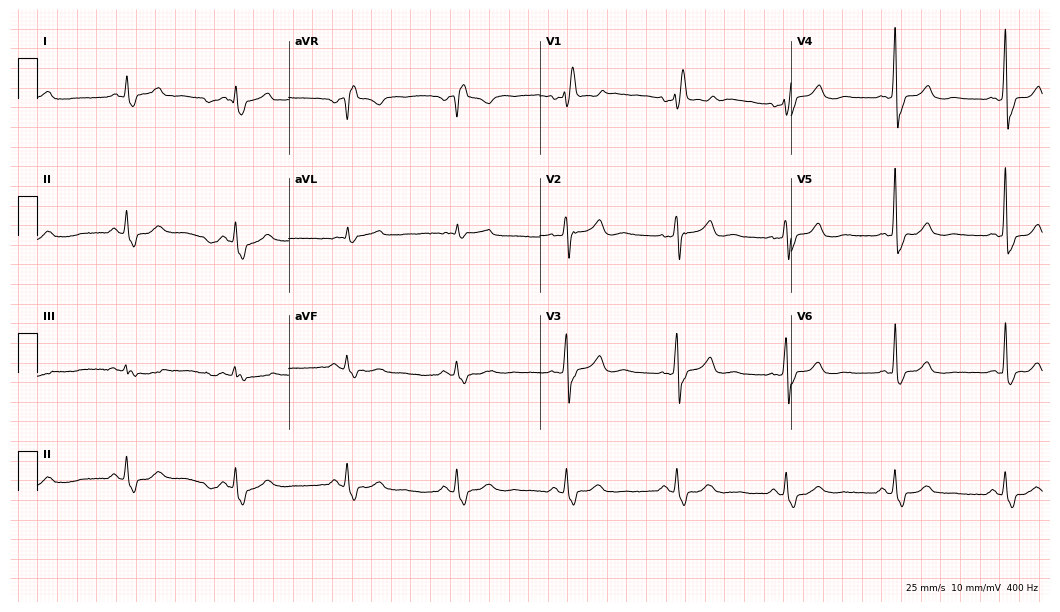
ECG (10.2-second recording at 400 Hz) — a 61-year-old female. Findings include right bundle branch block.